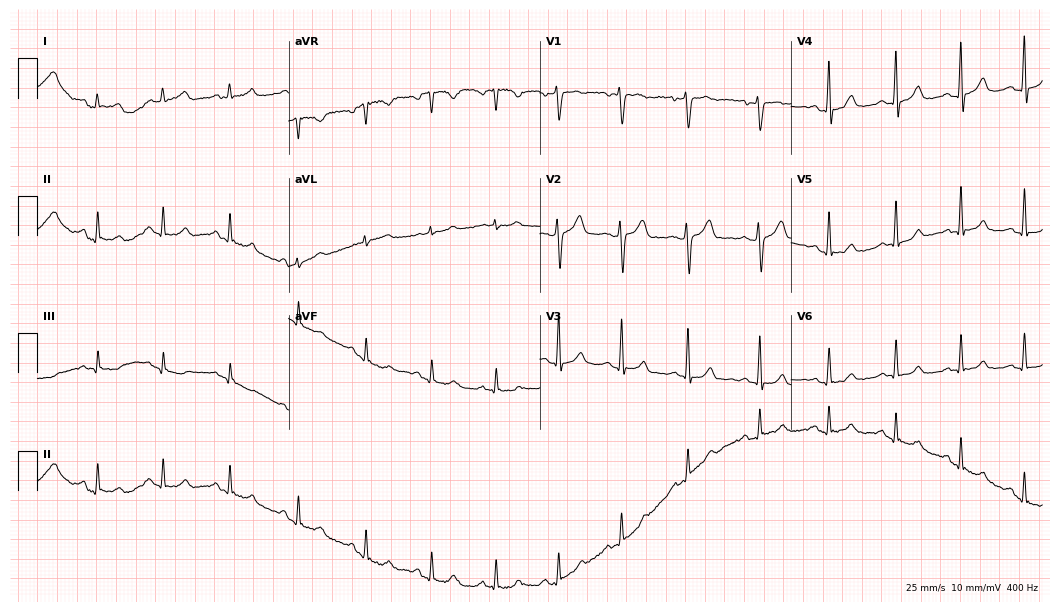
12-lead ECG from a male, 41 years old (10.2-second recording at 400 Hz). Recorded interpretation: within normal limits.